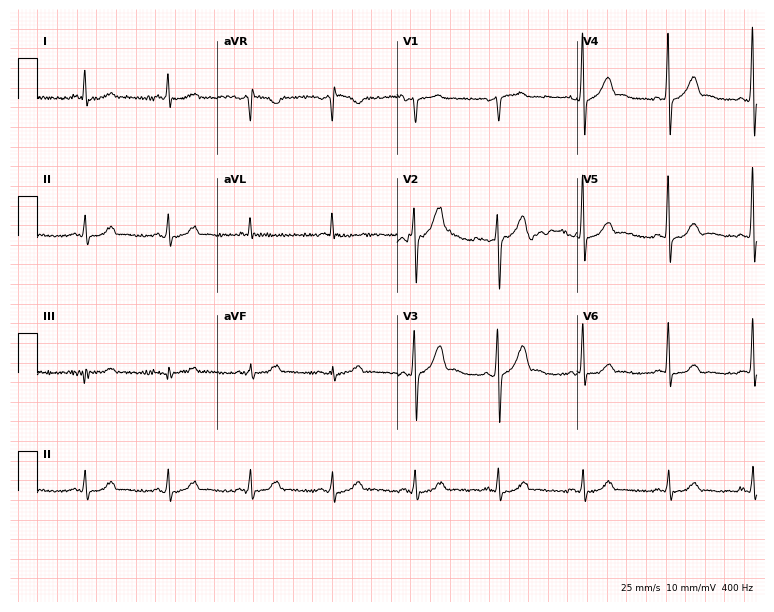
12-lead ECG (7.3-second recording at 400 Hz) from a male, 48 years old. Labelled as a normal ECG.